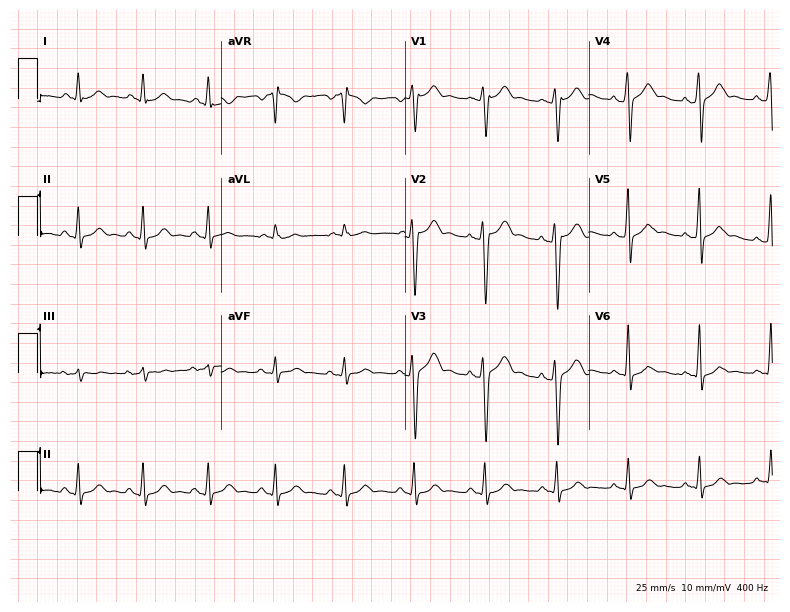
12-lead ECG (7.5-second recording at 400 Hz) from a 33-year-old man. Labelled as a normal ECG.